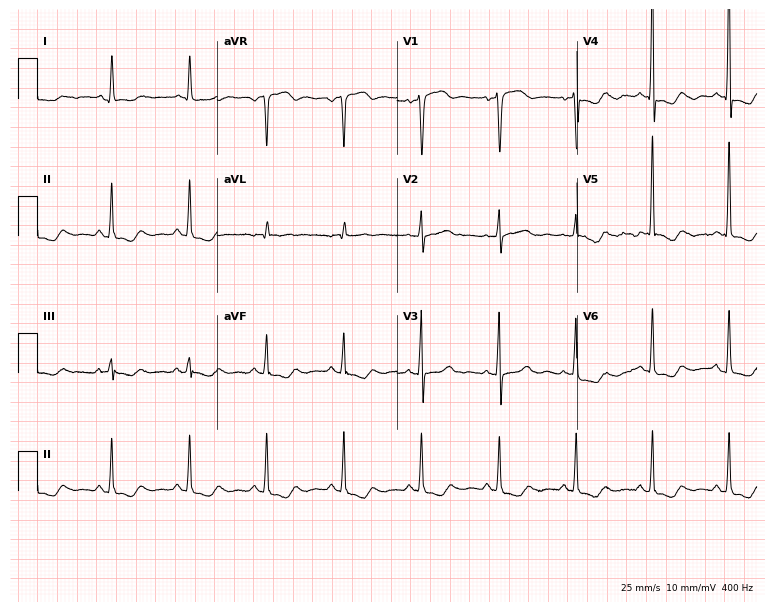
12-lead ECG from an 86-year-old woman (7.3-second recording at 400 Hz). No first-degree AV block, right bundle branch block (RBBB), left bundle branch block (LBBB), sinus bradycardia, atrial fibrillation (AF) or sinus tachycardia recorded for this tracing. Other findings, if any, are not listed.